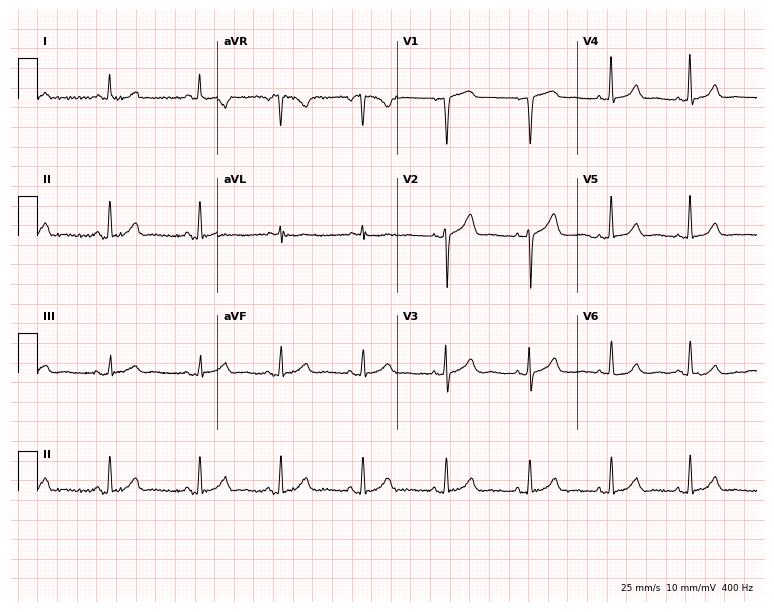
ECG — a 56-year-old woman. Labelled as a normal ECG.